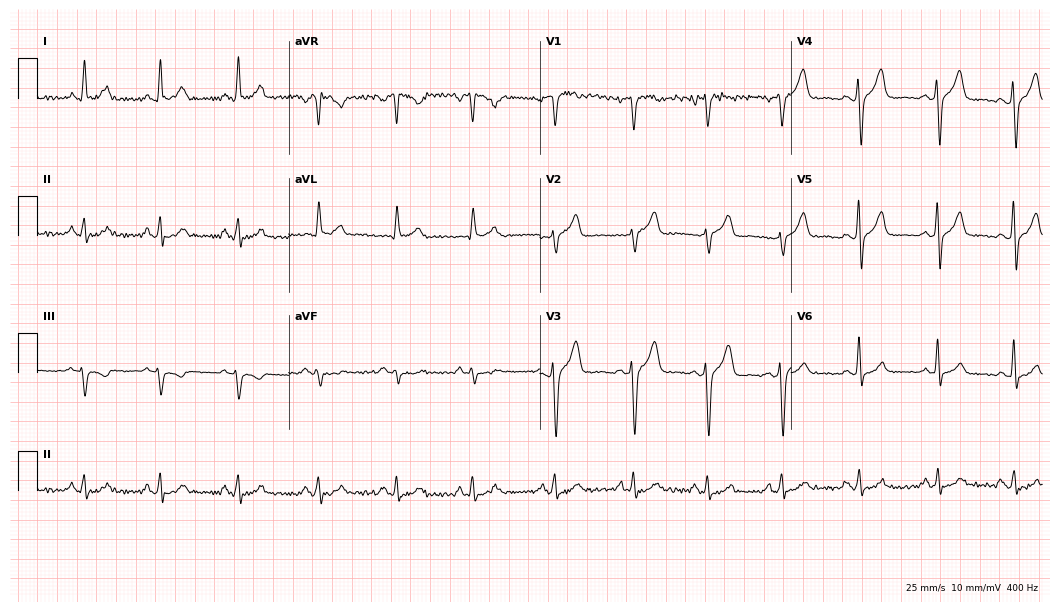
12-lead ECG from a male, 63 years old. Recorded interpretation: within normal limits.